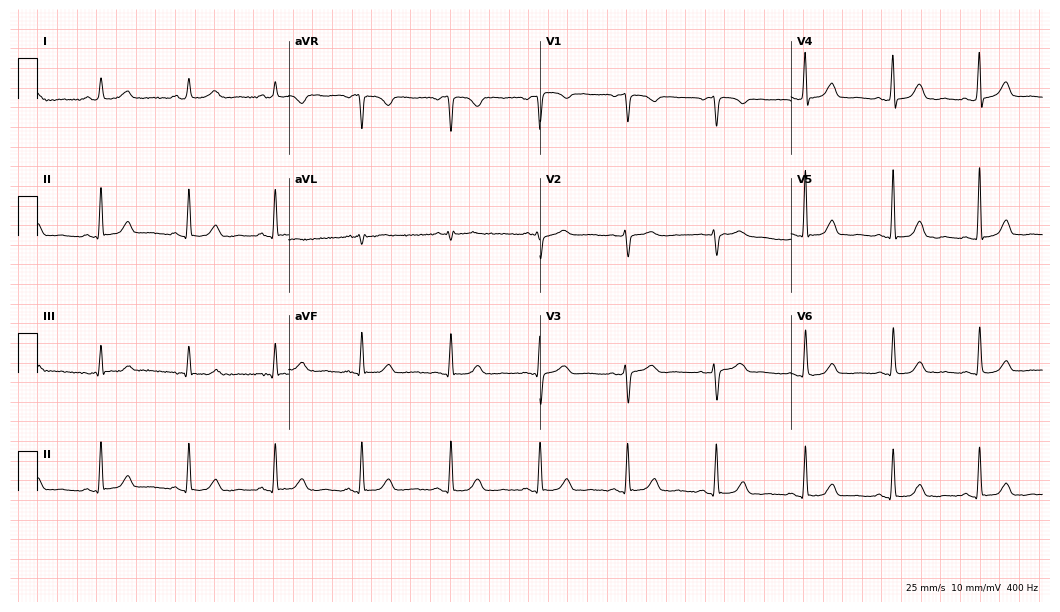
12-lead ECG from a 66-year-old woman. Labelled as a normal ECG.